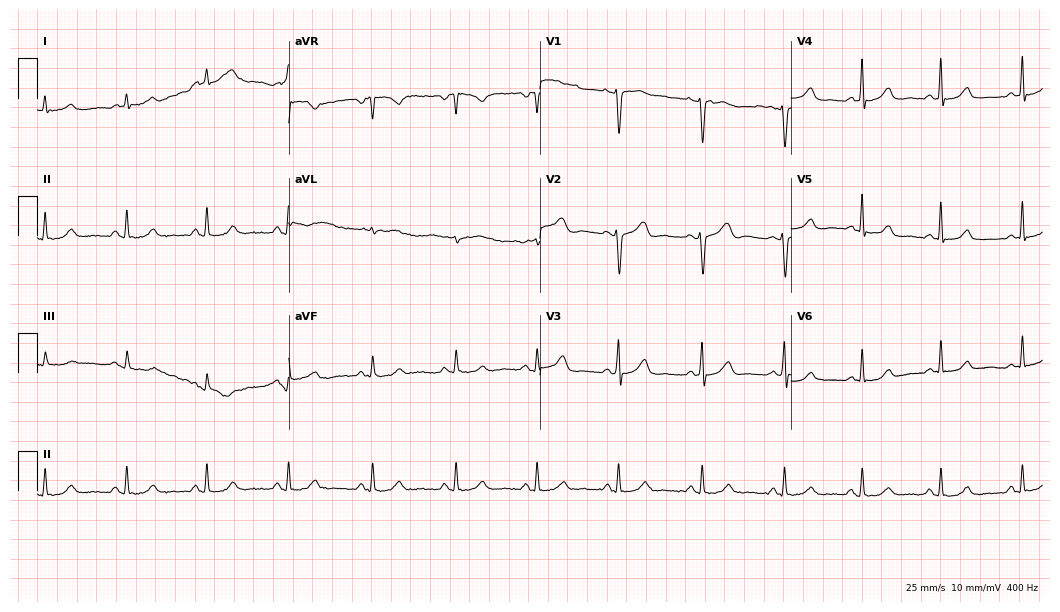
Standard 12-lead ECG recorded from a woman, 43 years old (10.2-second recording at 400 Hz). Read as a normal ECG.